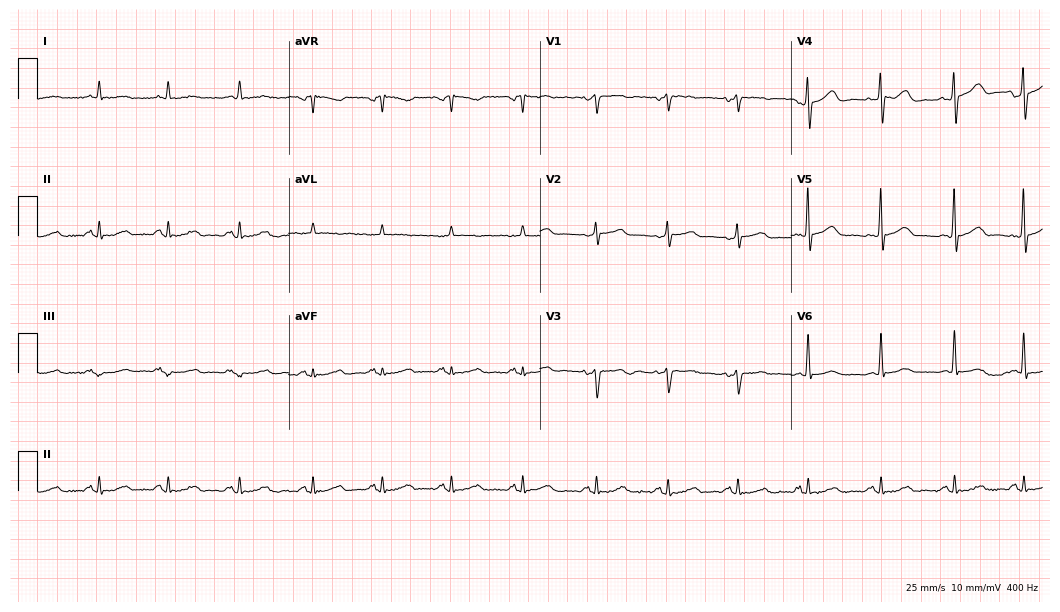
12-lead ECG (10.2-second recording at 400 Hz) from a 65-year-old man. Screened for six findings — first-degree AV block, right bundle branch block, left bundle branch block, sinus bradycardia, atrial fibrillation, sinus tachycardia — none is recorded.